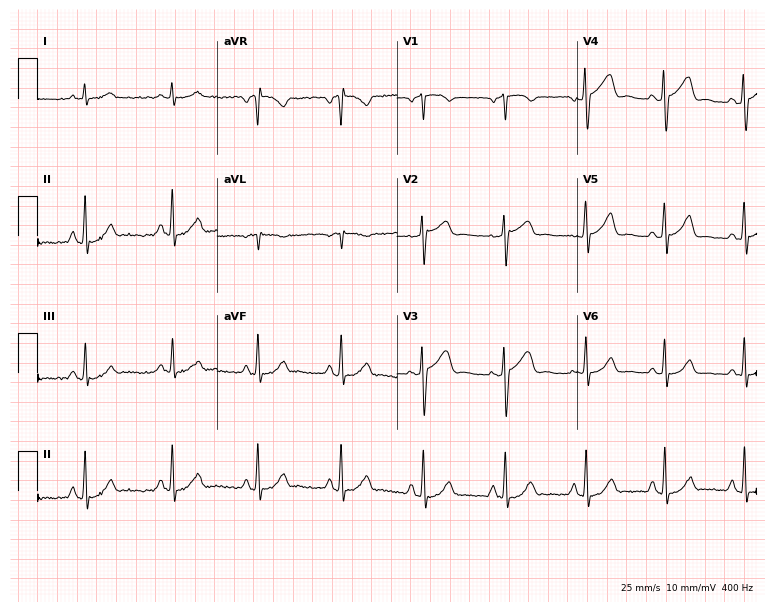
Resting 12-lead electrocardiogram. Patient: a 44-year-old male. None of these six findings is recorded: first-degree AV block, right bundle branch block, left bundle branch block, sinus bradycardia, atrial fibrillation, sinus tachycardia. Only these six findings were labelled.